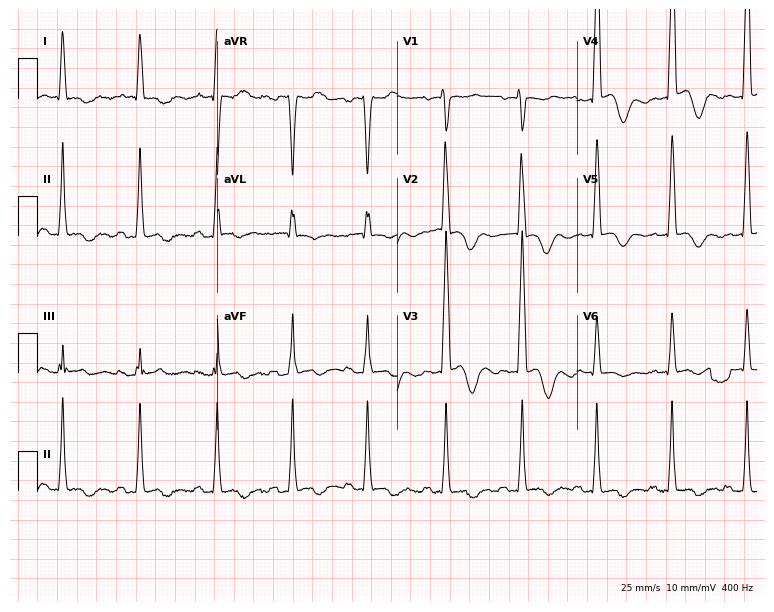
12-lead ECG (7.3-second recording at 400 Hz) from a female patient, 81 years old. Screened for six findings — first-degree AV block, right bundle branch block, left bundle branch block, sinus bradycardia, atrial fibrillation, sinus tachycardia — none is recorded. Other findings, if any, are not listed.